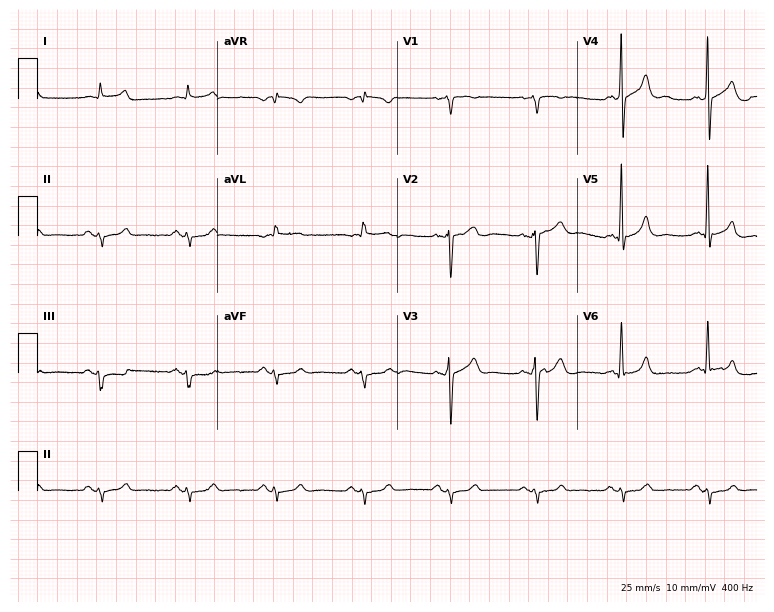
Resting 12-lead electrocardiogram (7.3-second recording at 400 Hz). Patient: a 25-year-old male. None of these six findings is recorded: first-degree AV block, right bundle branch block, left bundle branch block, sinus bradycardia, atrial fibrillation, sinus tachycardia. Other findings, if any, are not listed.